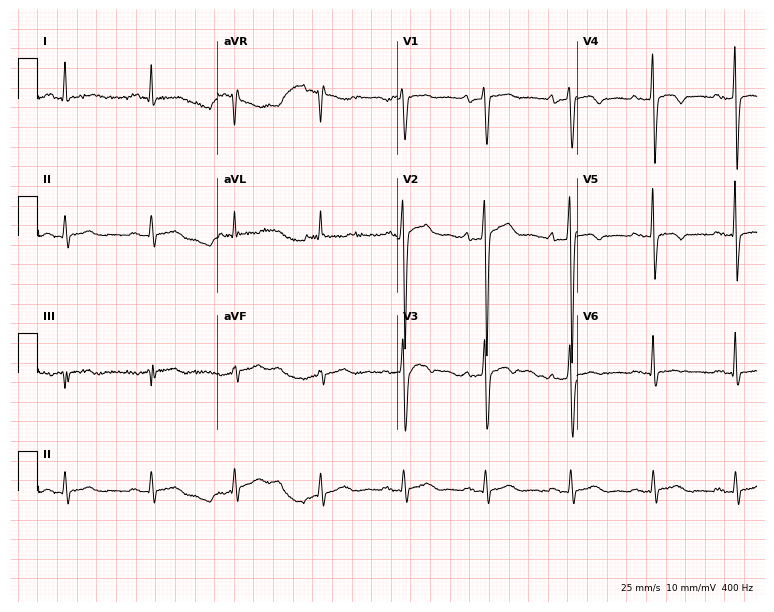
Standard 12-lead ECG recorded from a male, 42 years old (7.3-second recording at 400 Hz). None of these six findings is recorded: first-degree AV block, right bundle branch block (RBBB), left bundle branch block (LBBB), sinus bradycardia, atrial fibrillation (AF), sinus tachycardia. Findings outside these six are not listed.